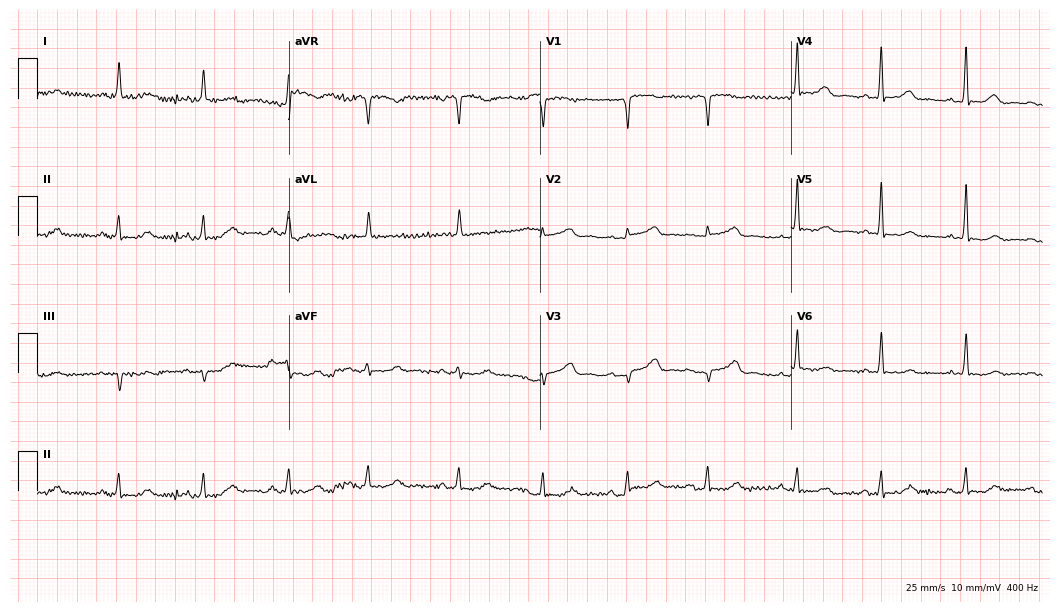
Standard 12-lead ECG recorded from a female, 83 years old. None of these six findings is recorded: first-degree AV block, right bundle branch block, left bundle branch block, sinus bradycardia, atrial fibrillation, sinus tachycardia.